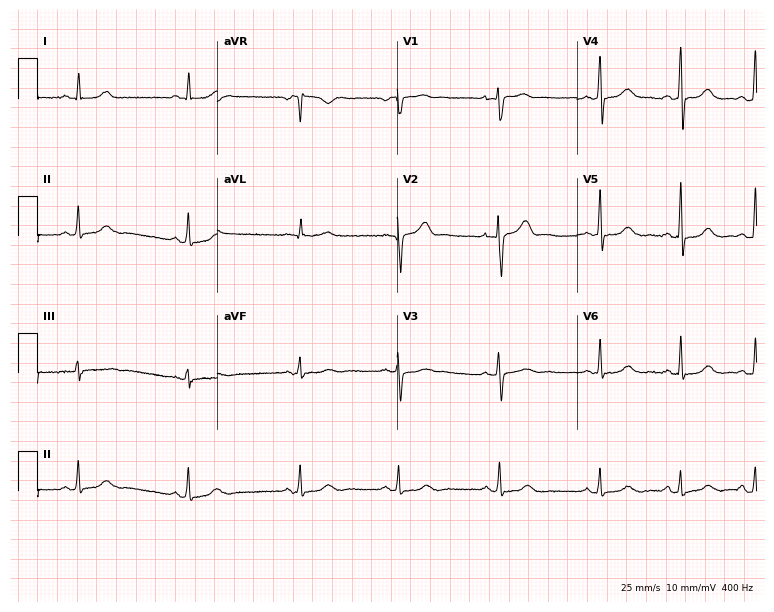
Resting 12-lead electrocardiogram. Patient: a woman, 29 years old. Read as a normal ECG.